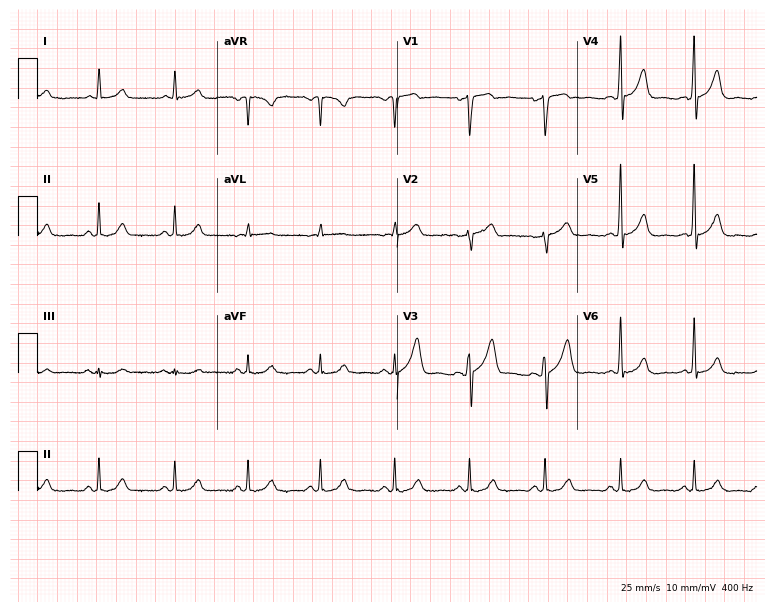
12-lead ECG from a male patient, 60 years old. Recorded interpretation: within normal limits.